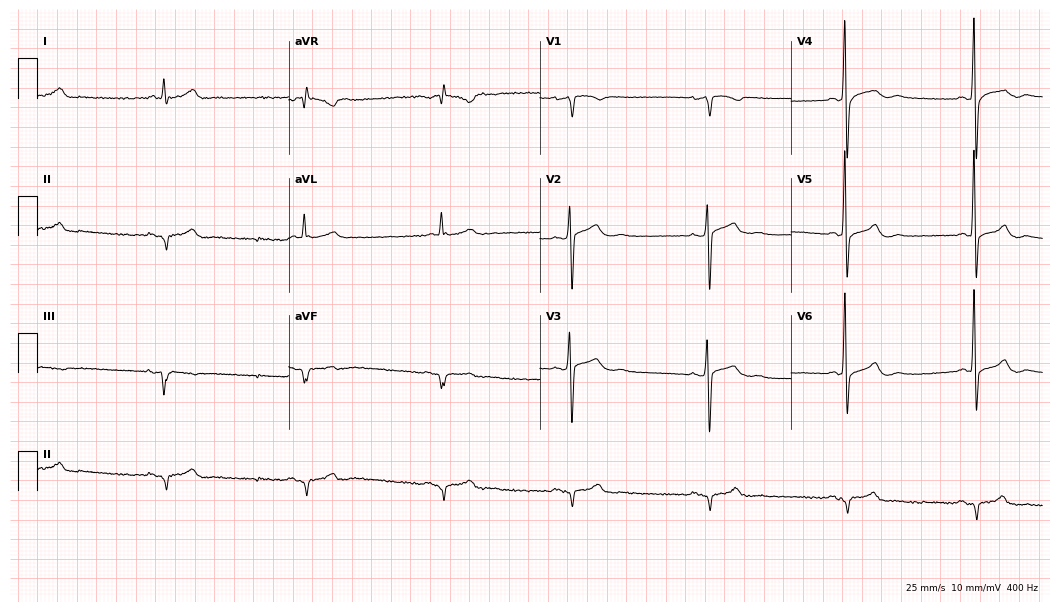
12-lead ECG from a 56-year-old male. No first-degree AV block, right bundle branch block, left bundle branch block, sinus bradycardia, atrial fibrillation or sinus tachycardia recorded for this tracing. Other findings, if any, are not listed.